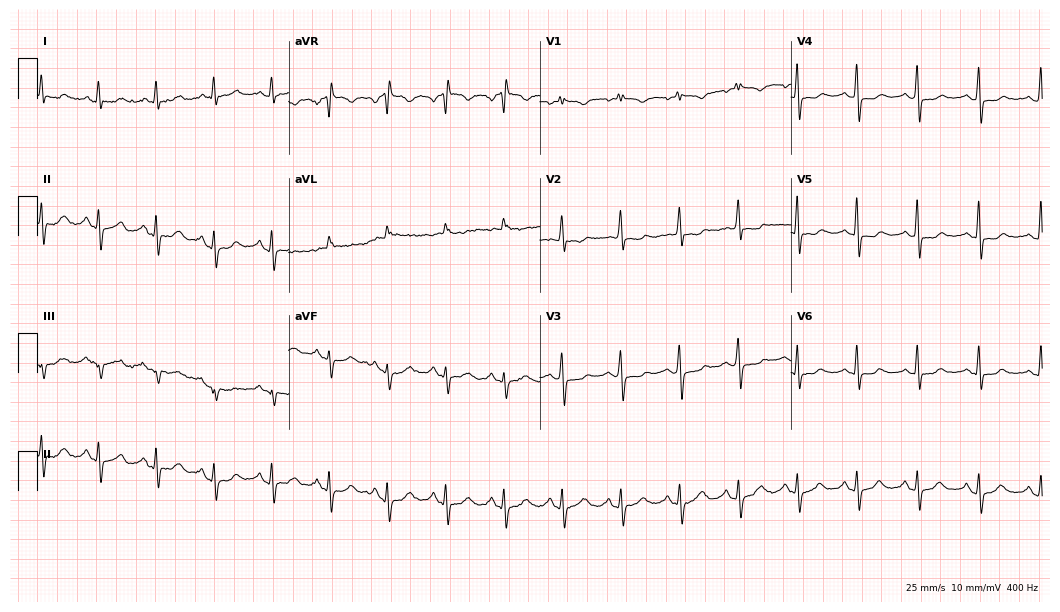
Electrocardiogram (10.2-second recording at 400 Hz), a 67-year-old woman. Of the six screened findings (first-degree AV block, right bundle branch block, left bundle branch block, sinus bradycardia, atrial fibrillation, sinus tachycardia), none is recorded.